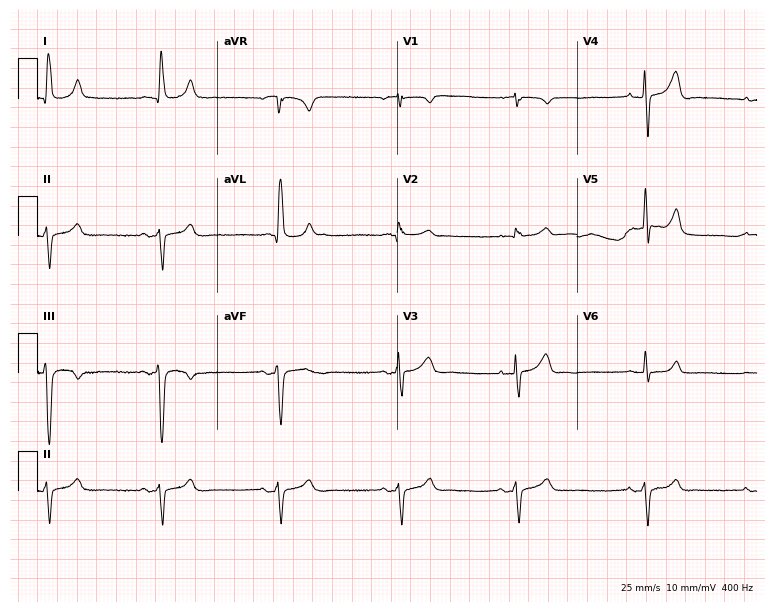
12-lead ECG (7.3-second recording at 400 Hz) from a 78-year-old female. Screened for six findings — first-degree AV block, right bundle branch block, left bundle branch block, sinus bradycardia, atrial fibrillation, sinus tachycardia — none is recorded. Findings outside these six are not listed.